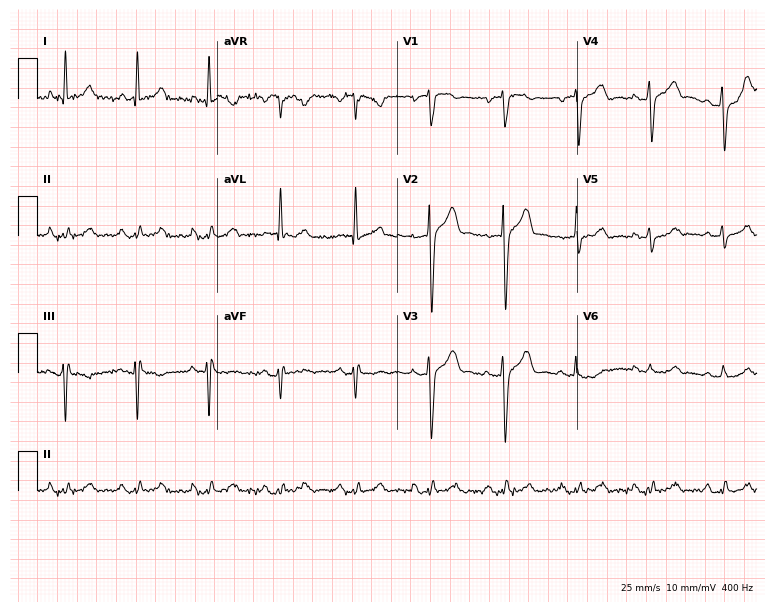
Standard 12-lead ECG recorded from a man, 43 years old (7.3-second recording at 400 Hz). None of these six findings is recorded: first-degree AV block, right bundle branch block, left bundle branch block, sinus bradycardia, atrial fibrillation, sinus tachycardia.